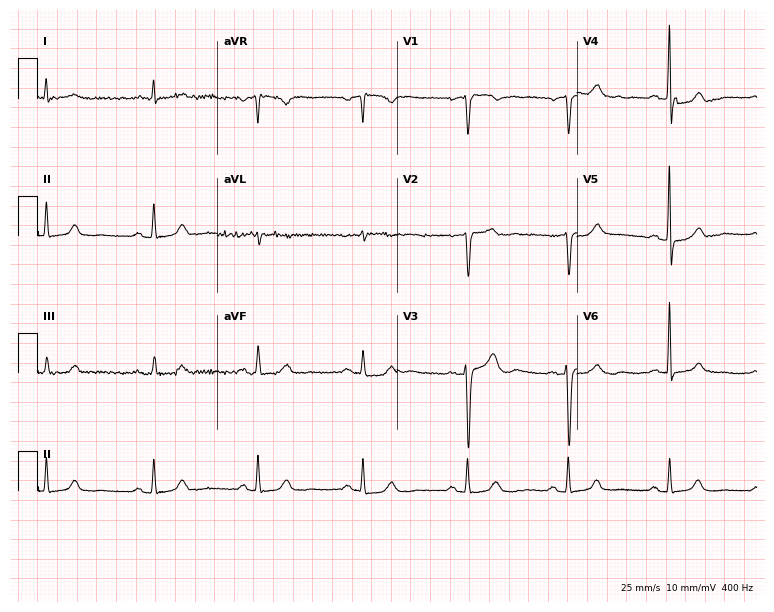
12-lead ECG from a male patient, 84 years old. No first-degree AV block, right bundle branch block, left bundle branch block, sinus bradycardia, atrial fibrillation or sinus tachycardia recorded for this tracing.